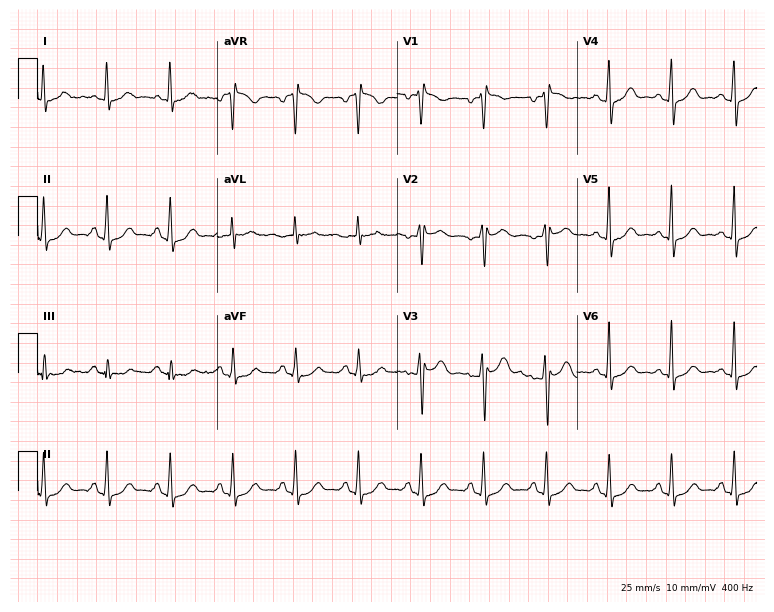
Electrocardiogram, a female patient, 48 years old. Overall reading on record: normal ECG.